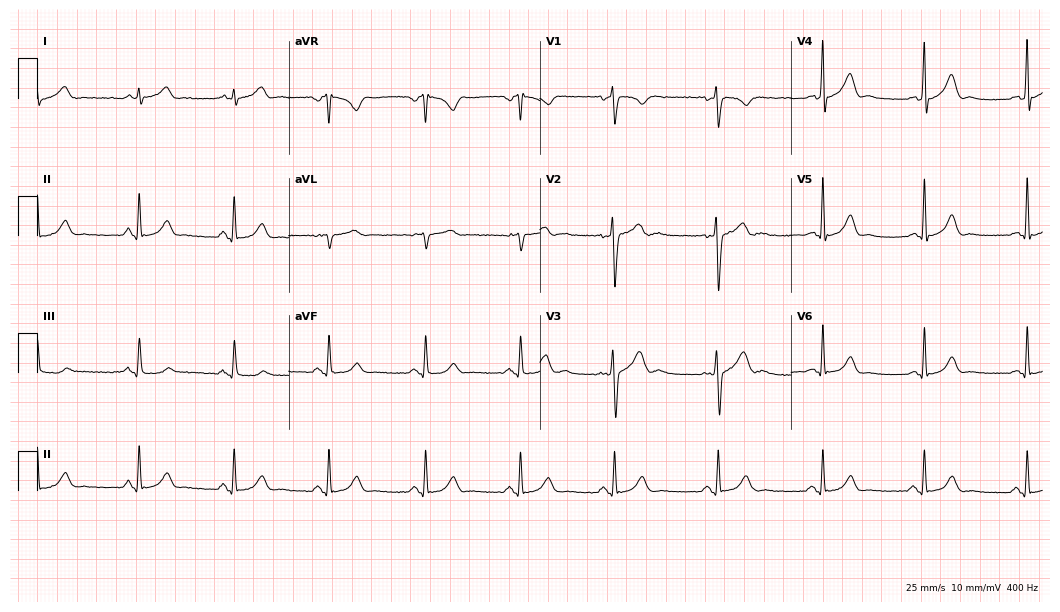
Standard 12-lead ECG recorded from a 34-year-old male. Read as a normal ECG.